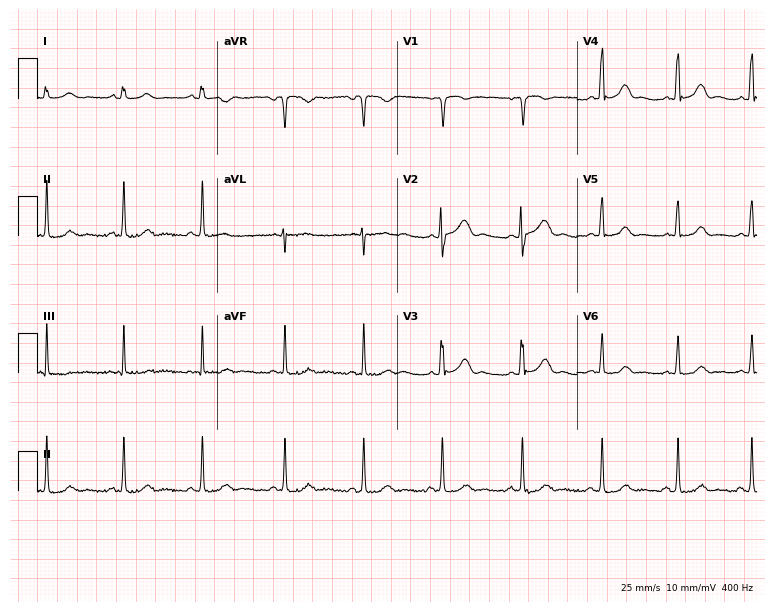
12-lead ECG from a 23-year-old female patient. No first-degree AV block, right bundle branch block, left bundle branch block, sinus bradycardia, atrial fibrillation or sinus tachycardia recorded for this tracing. Other findings, if any, are not listed.